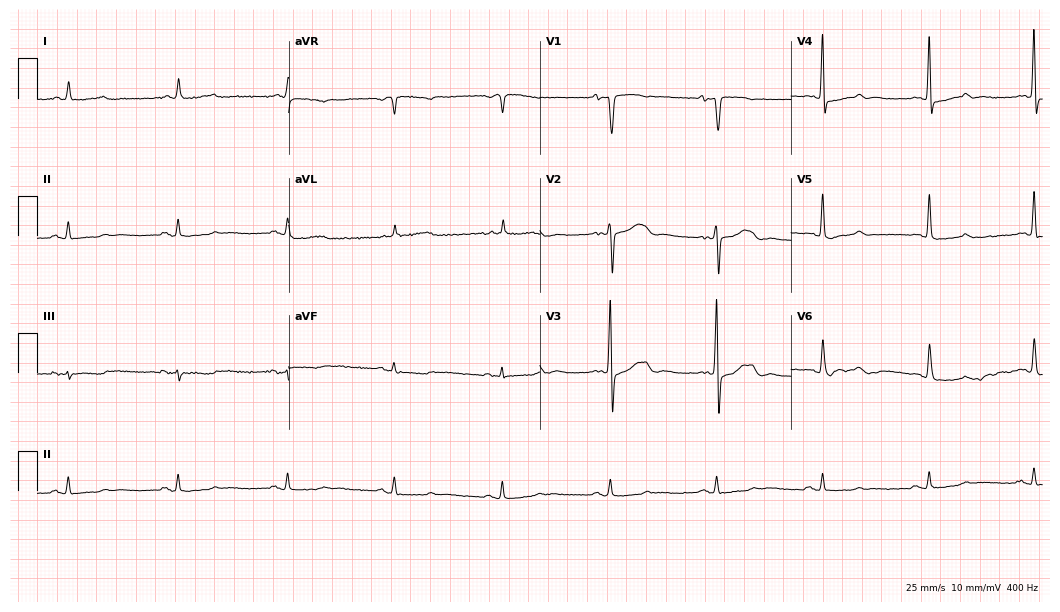
Resting 12-lead electrocardiogram (10.2-second recording at 400 Hz). Patient: a 77-year-old female. None of these six findings is recorded: first-degree AV block, right bundle branch block, left bundle branch block, sinus bradycardia, atrial fibrillation, sinus tachycardia.